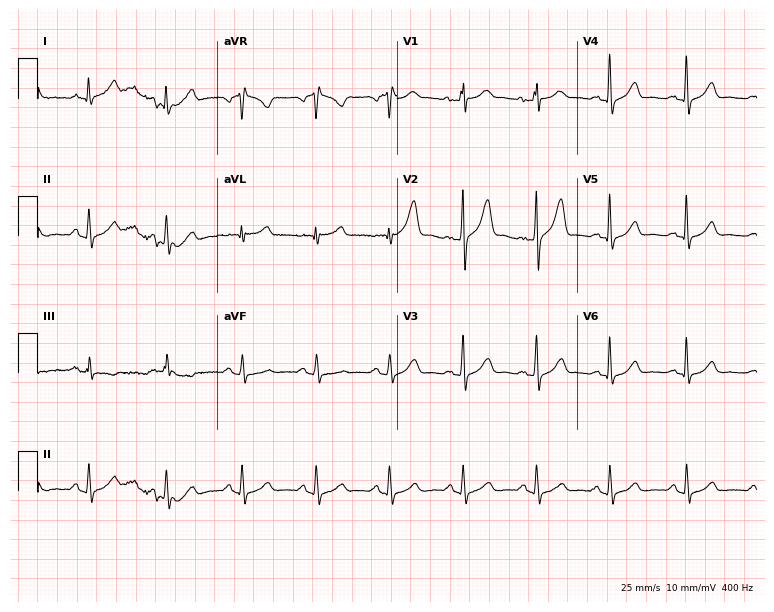
12-lead ECG from a 52-year-old male patient. Labelled as a normal ECG.